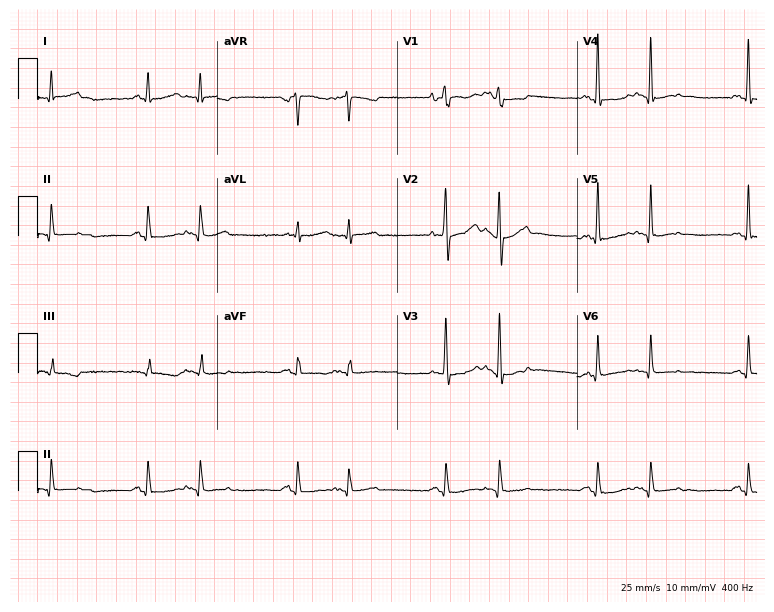
ECG (7.3-second recording at 400 Hz) — a 74-year-old male patient. Screened for six findings — first-degree AV block, right bundle branch block, left bundle branch block, sinus bradycardia, atrial fibrillation, sinus tachycardia — none is recorded.